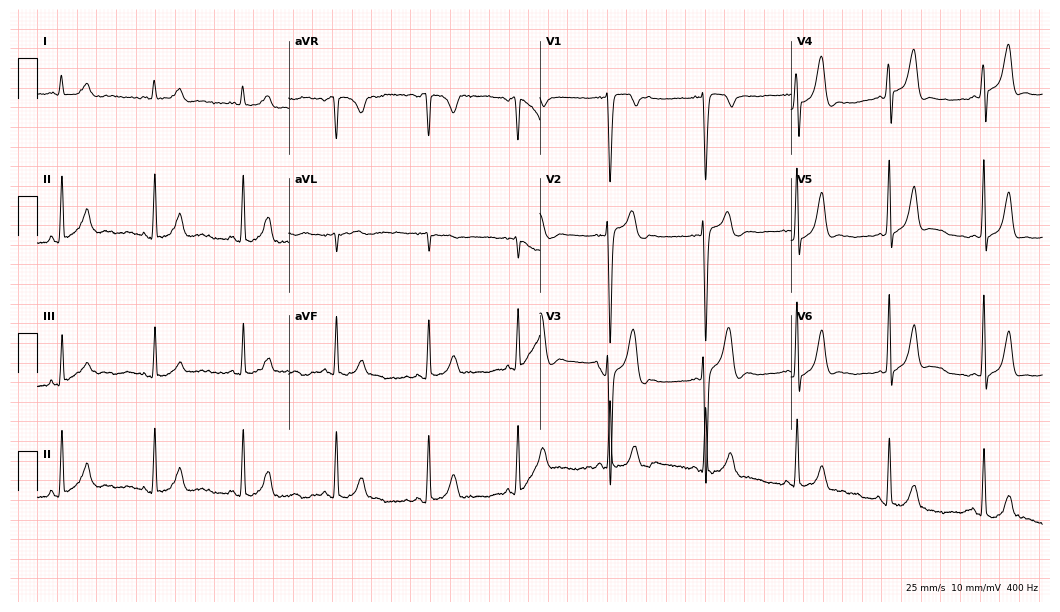
12-lead ECG from an 18-year-old man (10.2-second recording at 400 Hz). No first-degree AV block, right bundle branch block, left bundle branch block, sinus bradycardia, atrial fibrillation or sinus tachycardia recorded for this tracing.